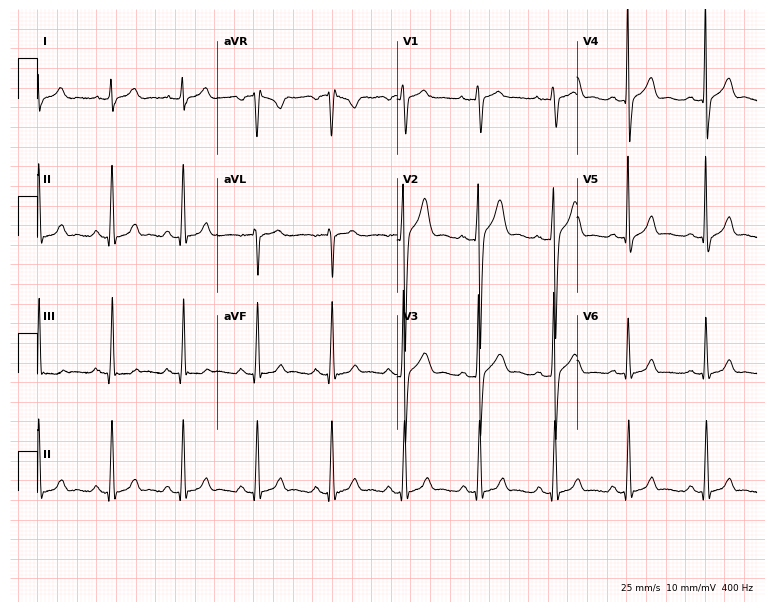
12-lead ECG (7.3-second recording at 400 Hz) from a male, 25 years old. Screened for six findings — first-degree AV block, right bundle branch block, left bundle branch block, sinus bradycardia, atrial fibrillation, sinus tachycardia — none is recorded. Other findings, if any, are not listed.